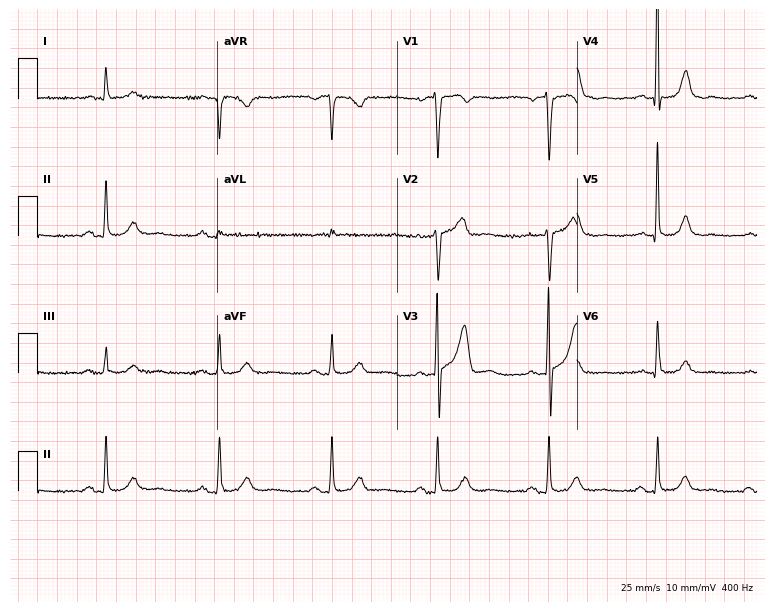
ECG (7.3-second recording at 400 Hz) — a 58-year-old male. Labelled as a normal ECG.